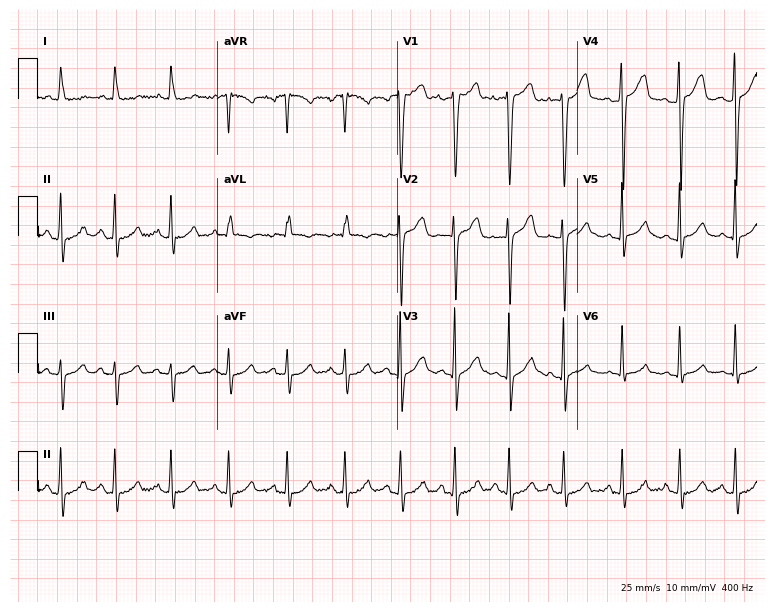
Electrocardiogram (7.3-second recording at 400 Hz), a female patient, 25 years old. Interpretation includes sinus tachycardia (a sinus rate of 100 beats per minute or more).